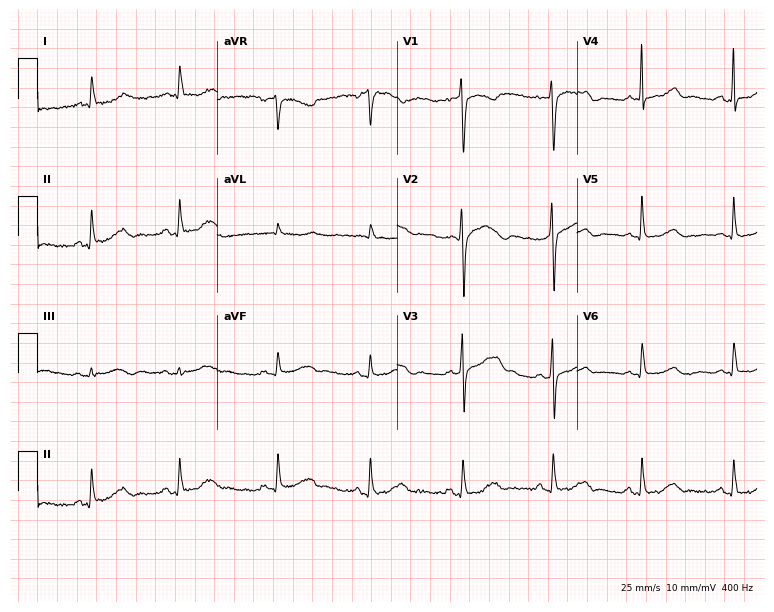
ECG (7.3-second recording at 400 Hz) — a 62-year-old female patient. Labelled as a normal ECG.